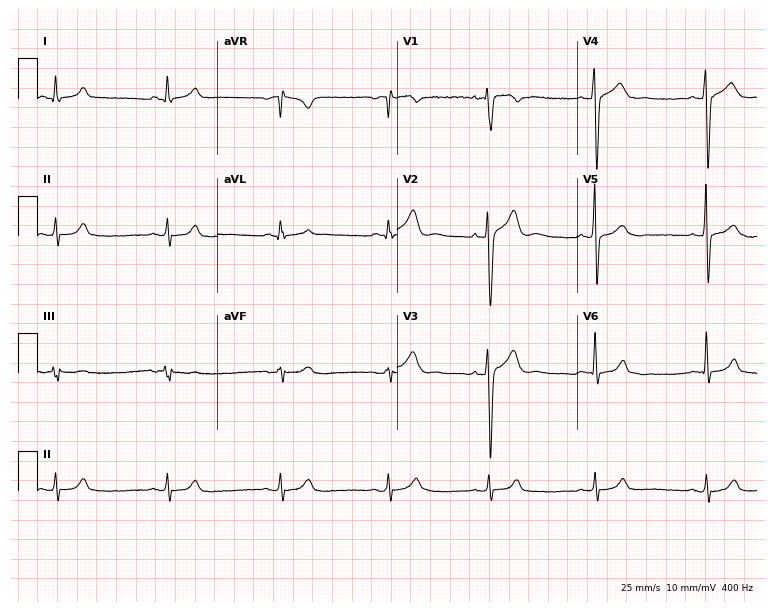
ECG (7.3-second recording at 400 Hz) — a man, 25 years old. Labelled as a normal ECG.